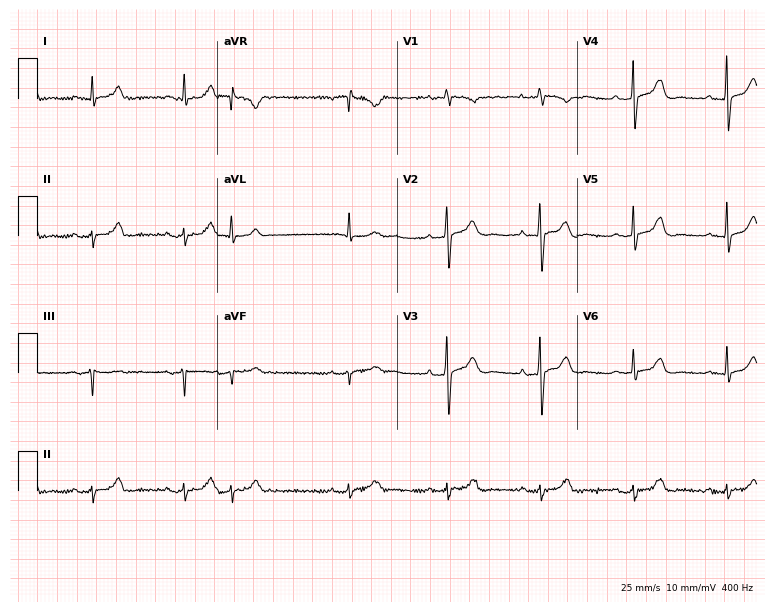
12-lead ECG (7.3-second recording at 400 Hz) from a 67-year-old female. Screened for six findings — first-degree AV block, right bundle branch block, left bundle branch block, sinus bradycardia, atrial fibrillation, sinus tachycardia — none is recorded. Other findings, if any, are not listed.